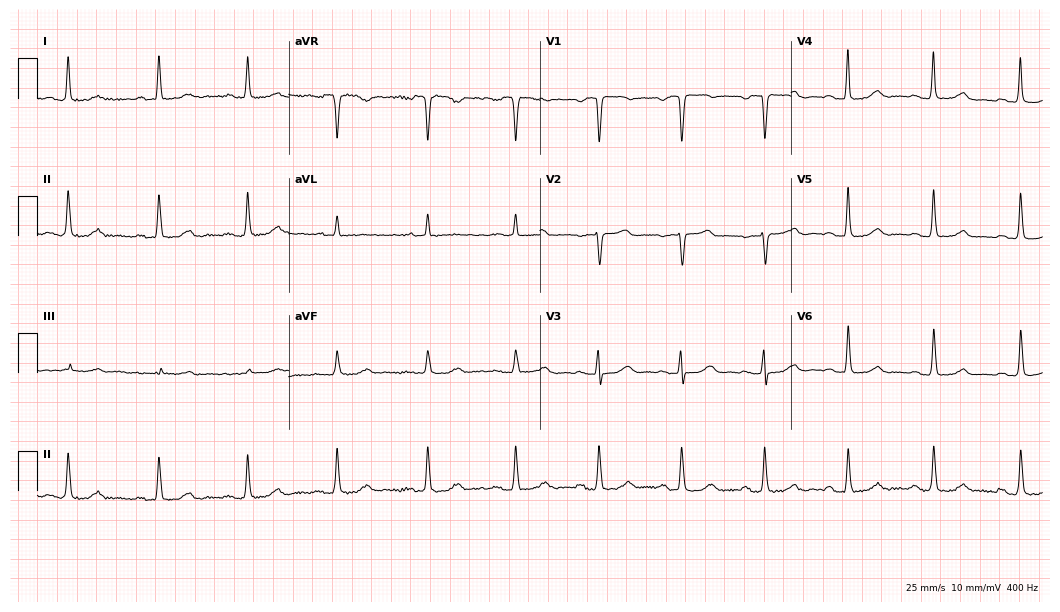
Resting 12-lead electrocardiogram. Patient: a woman, 72 years old. None of these six findings is recorded: first-degree AV block, right bundle branch block, left bundle branch block, sinus bradycardia, atrial fibrillation, sinus tachycardia. Findings outside these six are not listed.